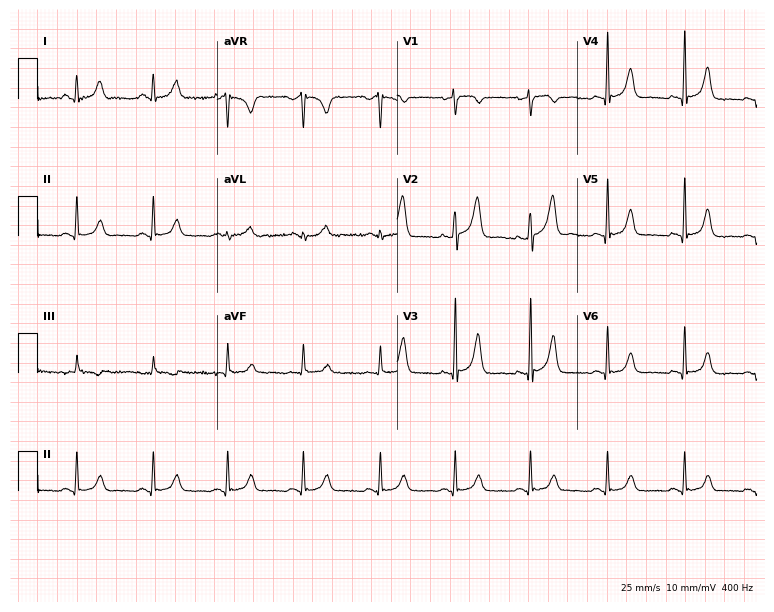
ECG — a 49-year-old female patient. Screened for six findings — first-degree AV block, right bundle branch block (RBBB), left bundle branch block (LBBB), sinus bradycardia, atrial fibrillation (AF), sinus tachycardia — none is recorded. Only these six findings were labelled.